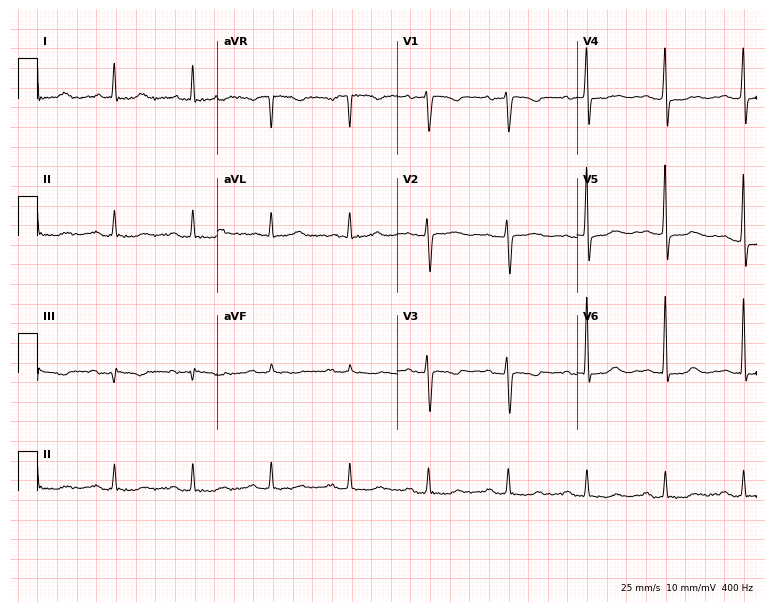
12-lead ECG (7.3-second recording at 400 Hz) from a 54-year-old woman. Screened for six findings — first-degree AV block, right bundle branch block, left bundle branch block, sinus bradycardia, atrial fibrillation, sinus tachycardia — none is recorded.